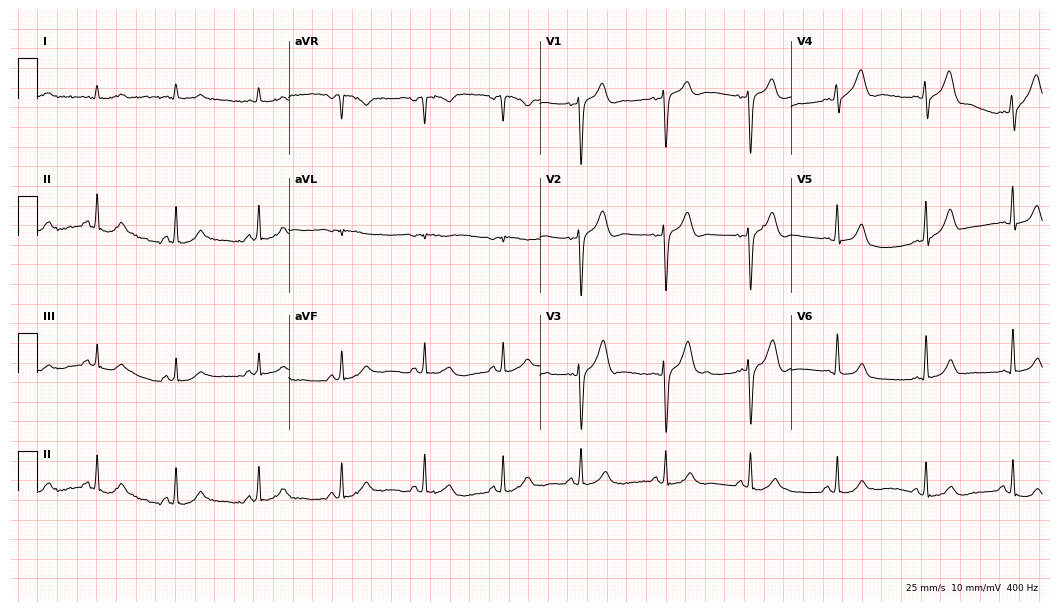
Electrocardiogram (10.2-second recording at 400 Hz), a male patient, 60 years old. Overall reading on record: normal ECG.